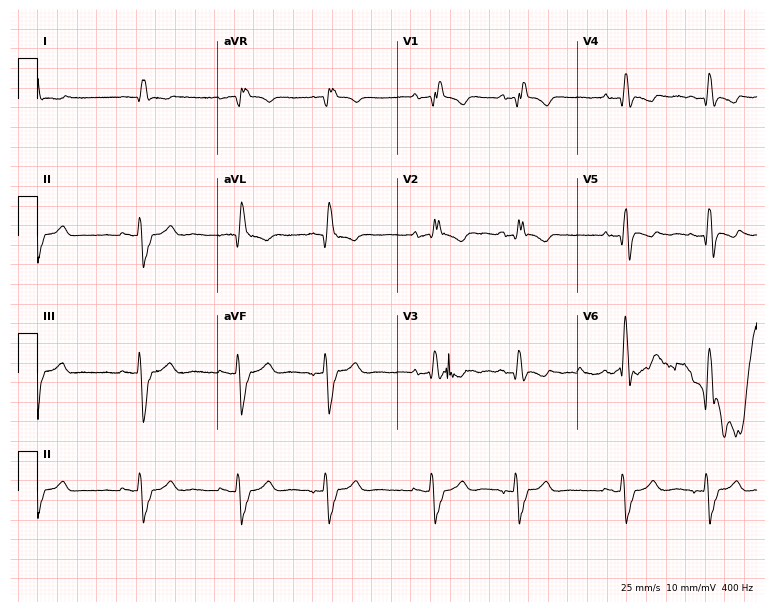
12-lead ECG from a man, 69 years old (7.3-second recording at 400 Hz). Shows right bundle branch block (RBBB).